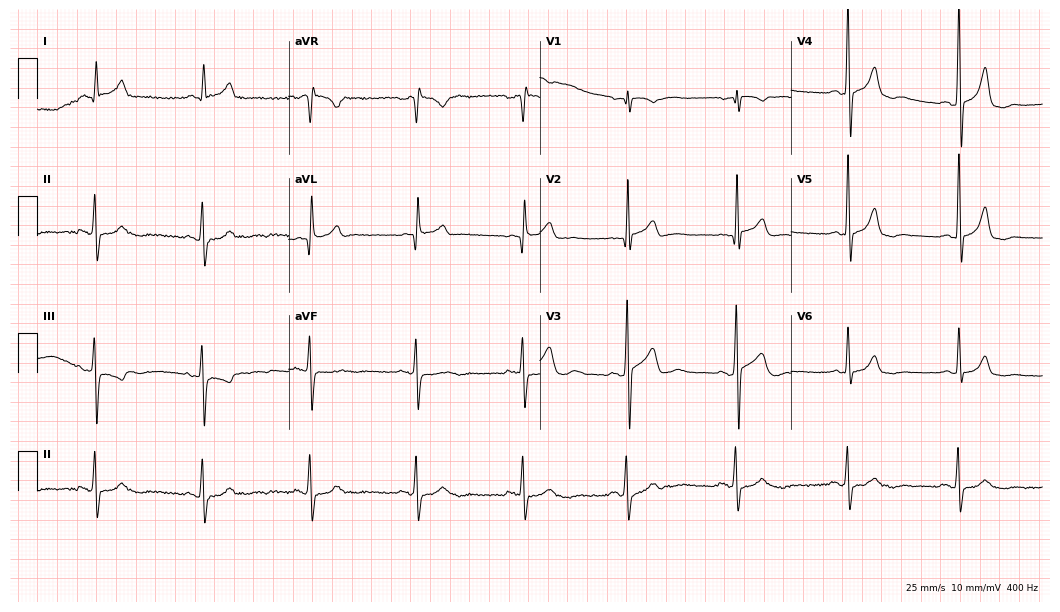
12-lead ECG (10.2-second recording at 400 Hz) from a male, 68 years old. Labelled as a normal ECG.